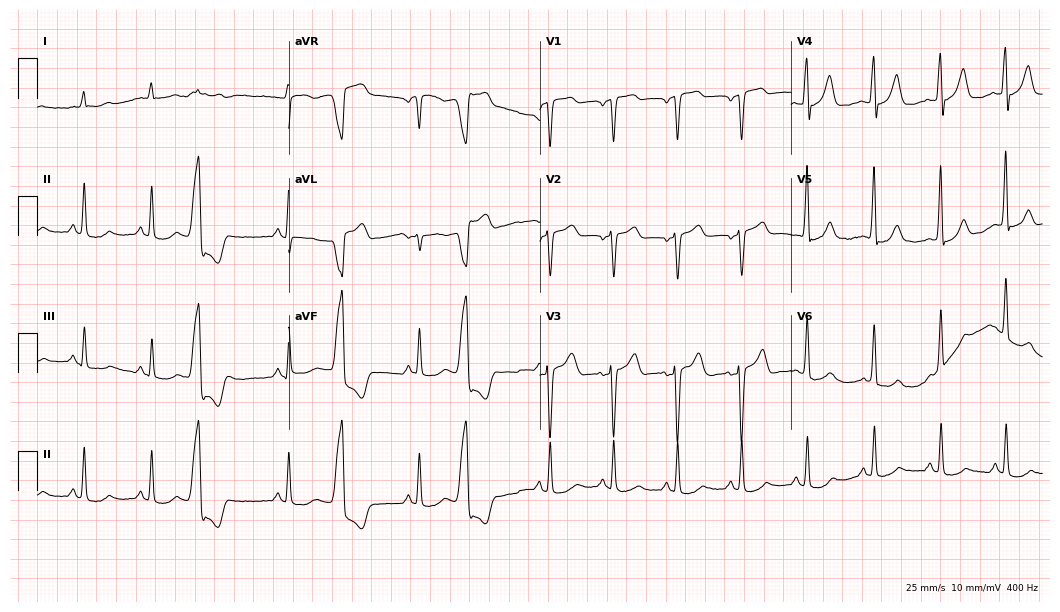
Resting 12-lead electrocardiogram (10.2-second recording at 400 Hz). Patient: an 81-year-old female. None of these six findings is recorded: first-degree AV block, right bundle branch block (RBBB), left bundle branch block (LBBB), sinus bradycardia, atrial fibrillation (AF), sinus tachycardia. Findings outside these six are not listed.